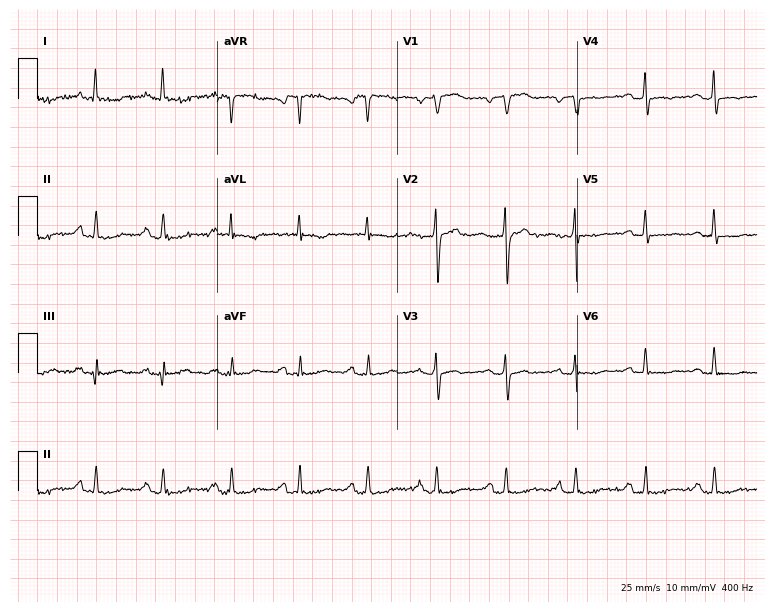
12-lead ECG from a 67-year-old female patient (7.3-second recording at 400 Hz). No first-degree AV block, right bundle branch block, left bundle branch block, sinus bradycardia, atrial fibrillation or sinus tachycardia recorded for this tracing.